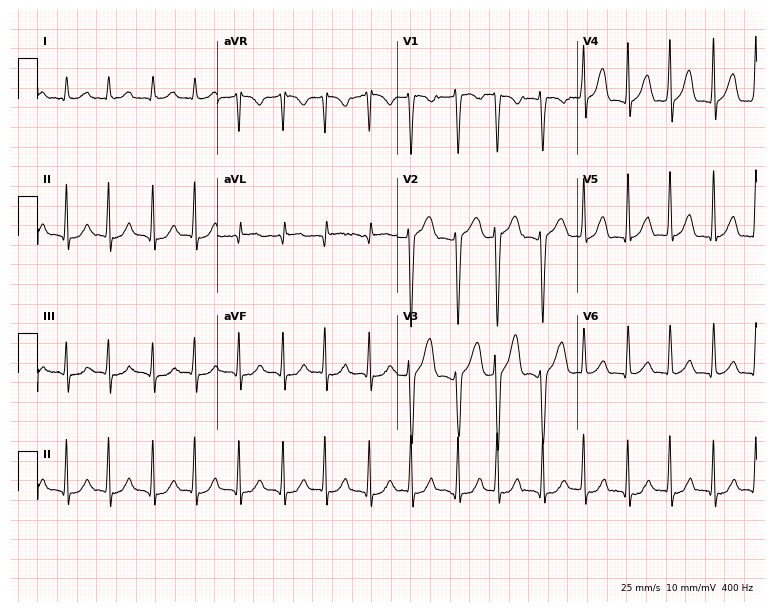
12-lead ECG from a man, 72 years old (7.3-second recording at 400 Hz). Shows atrial fibrillation.